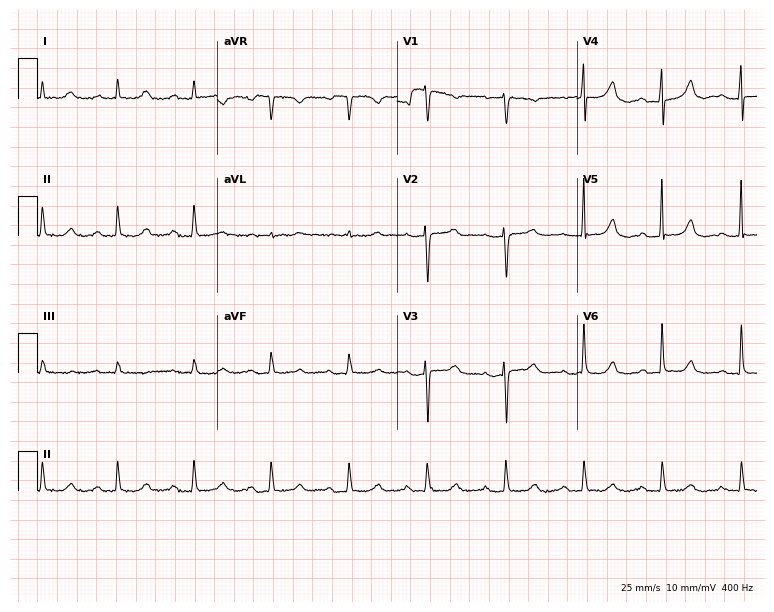
Electrocardiogram, a 72-year-old woman. Interpretation includes first-degree AV block.